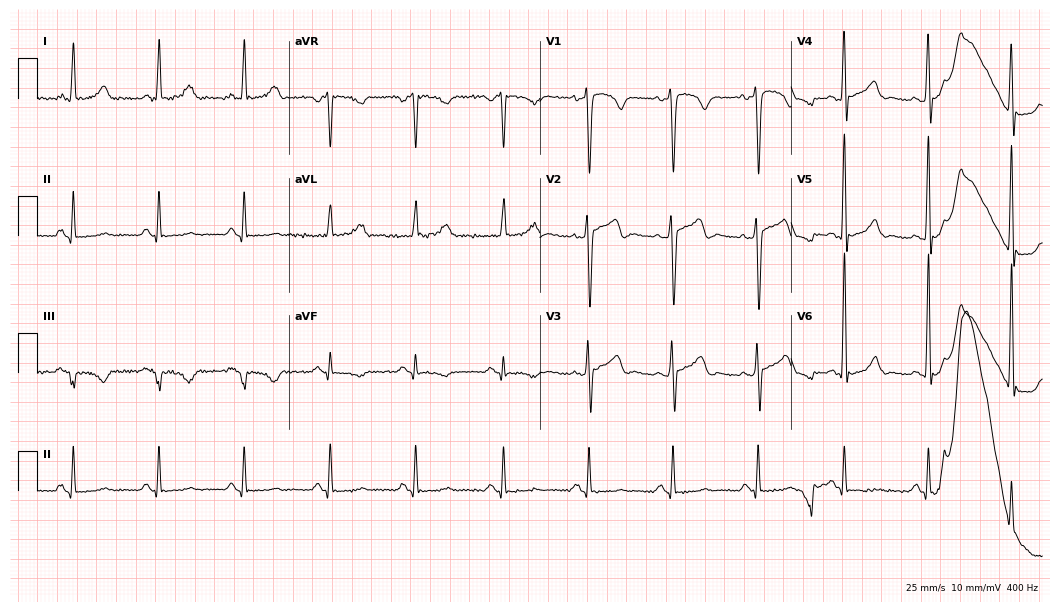
Standard 12-lead ECG recorded from a male patient, 58 years old. None of these six findings is recorded: first-degree AV block, right bundle branch block (RBBB), left bundle branch block (LBBB), sinus bradycardia, atrial fibrillation (AF), sinus tachycardia.